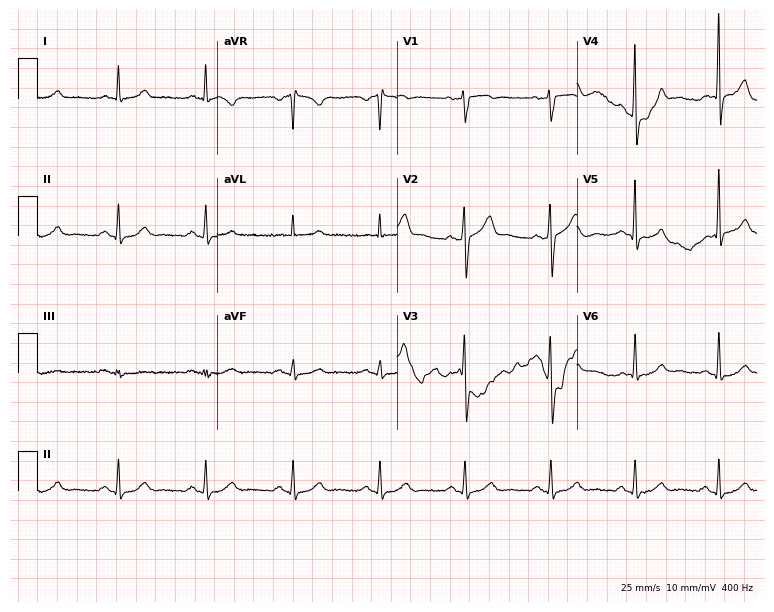
Resting 12-lead electrocardiogram (7.3-second recording at 400 Hz). Patient: a man, 54 years old. None of these six findings is recorded: first-degree AV block, right bundle branch block, left bundle branch block, sinus bradycardia, atrial fibrillation, sinus tachycardia. Only these six findings were labelled.